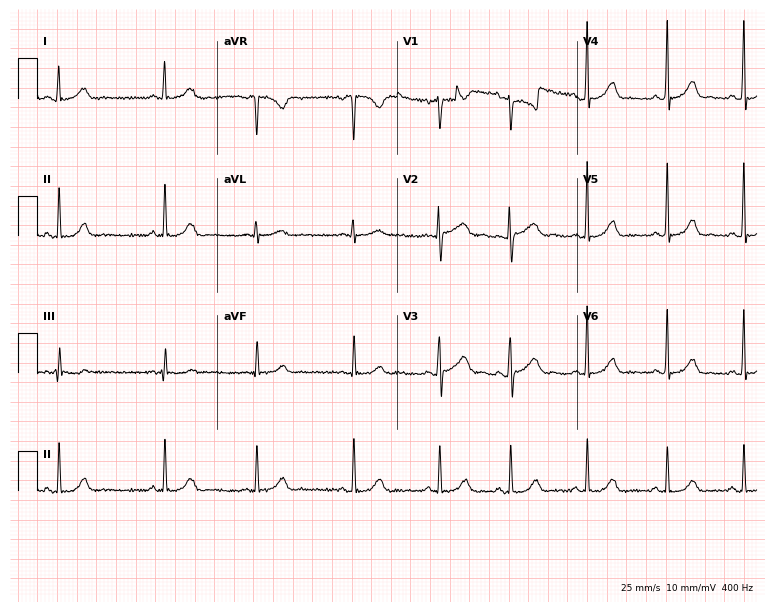
Standard 12-lead ECG recorded from a female, 18 years old (7.3-second recording at 400 Hz). None of these six findings is recorded: first-degree AV block, right bundle branch block, left bundle branch block, sinus bradycardia, atrial fibrillation, sinus tachycardia.